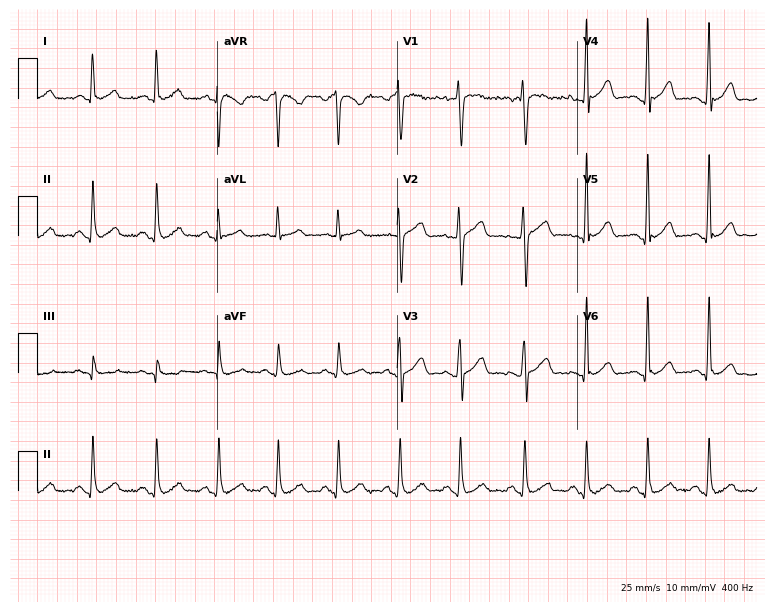
12-lead ECG from a 26-year-old female. No first-degree AV block, right bundle branch block (RBBB), left bundle branch block (LBBB), sinus bradycardia, atrial fibrillation (AF) or sinus tachycardia recorded for this tracing.